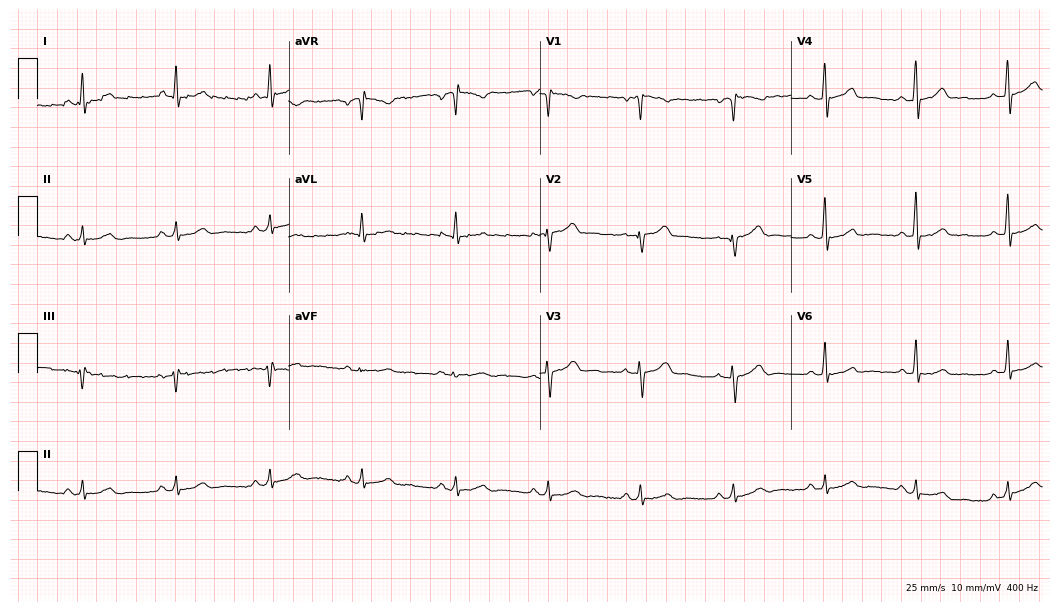
Electrocardiogram (10.2-second recording at 400 Hz), a 53-year-old male patient. Overall reading on record: normal ECG.